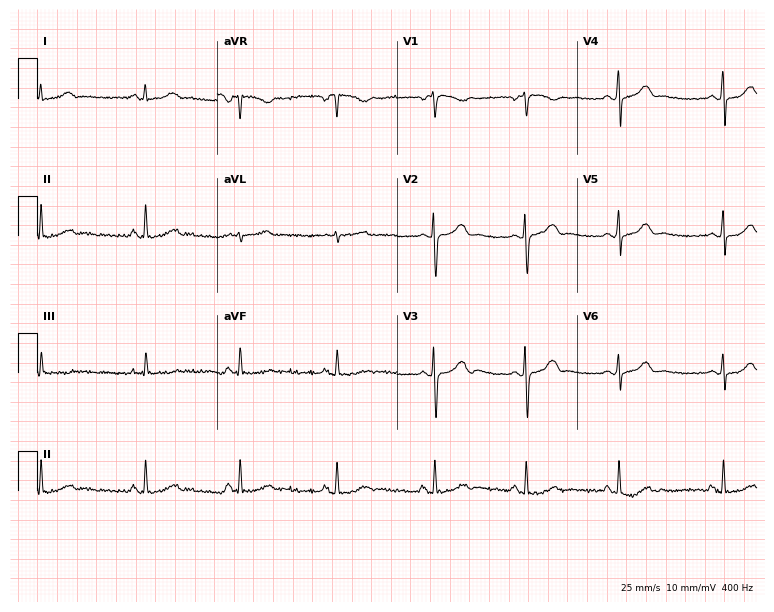
Electrocardiogram (7.3-second recording at 400 Hz), a 25-year-old female. Overall reading on record: normal ECG.